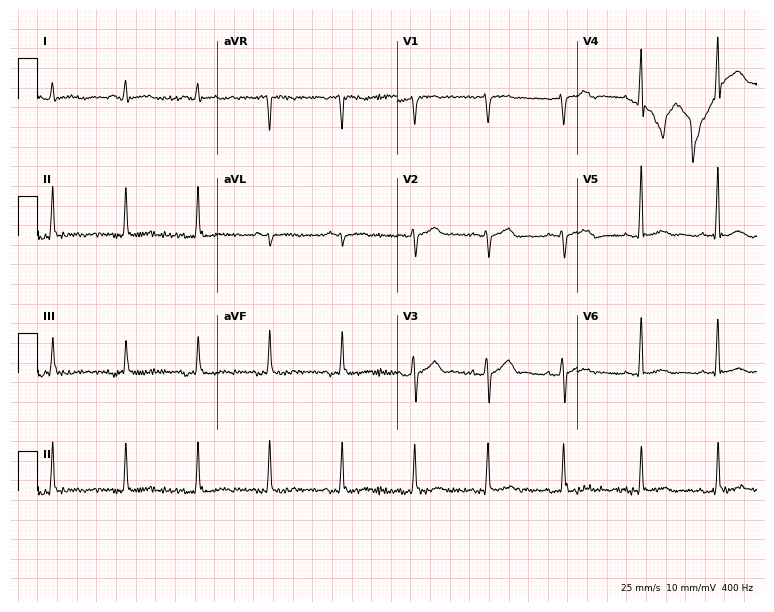
12-lead ECG from a 71-year-old male patient (7.3-second recording at 400 Hz). No first-degree AV block, right bundle branch block (RBBB), left bundle branch block (LBBB), sinus bradycardia, atrial fibrillation (AF) or sinus tachycardia recorded for this tracing. Findings outside these six are not listed.